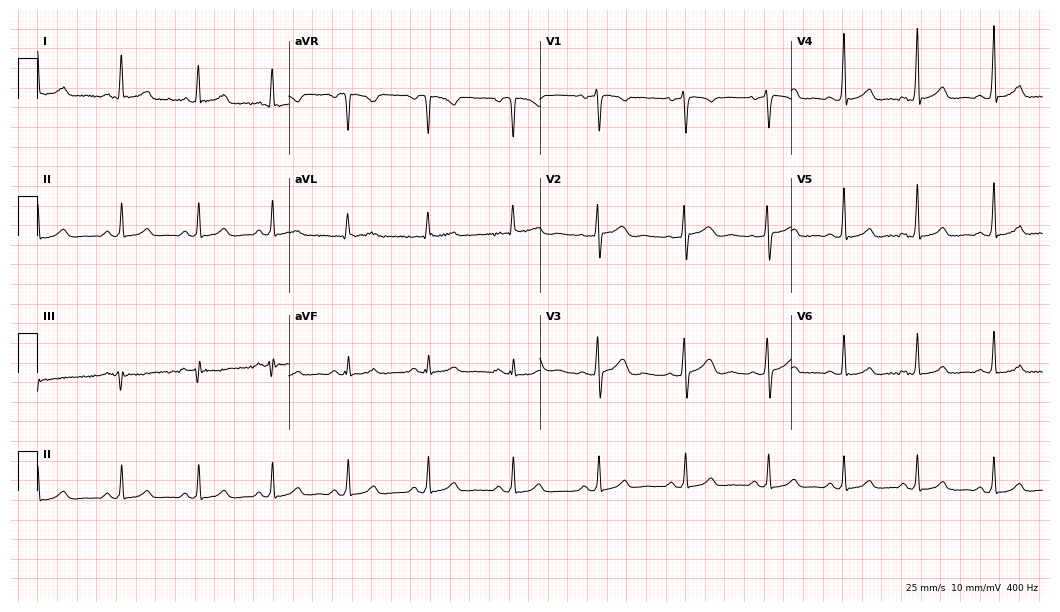
ECG (10.2-second recording at 400 Hz) — a 30-year-old female patient. Labelled as a normal ECG.